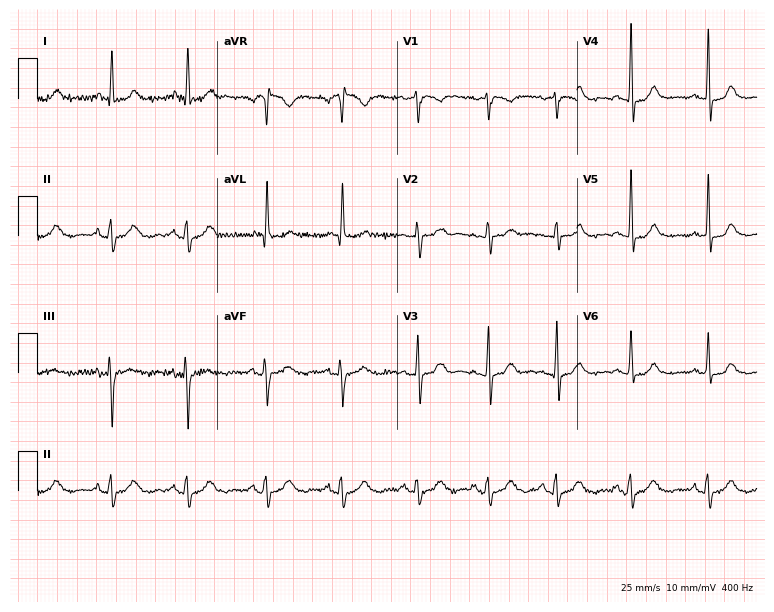
12-lead ECG from a 65-year-old female patient. Screened for six findings — first-degree AV block, right bundle branch block, left bundle branch block, sinus bradycardia, atrial fibrillation, sinus tachycardia — none is recorded. Other findings, if any, are not listed.